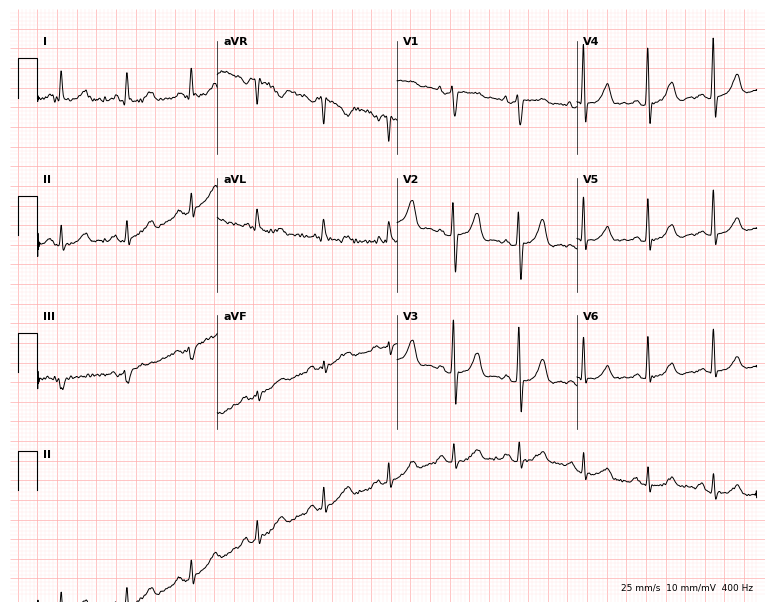
Electrocardiogram, a female patient, 64 years old. Of the six screened findings (first-degree AV block, right bundle branch block, left bundle branch block, sinus bradycardia, atrial fibrillation, sinus tachycardia), none is recorded.